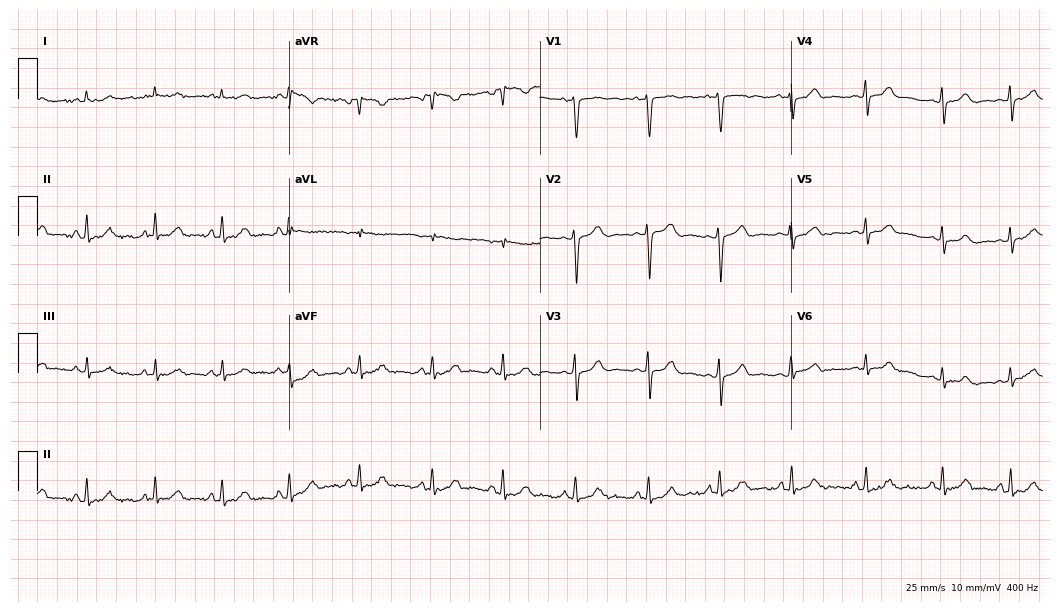
12-lead ECG from a female patient, 19 years old. Recorded interpretation: within normal limits.